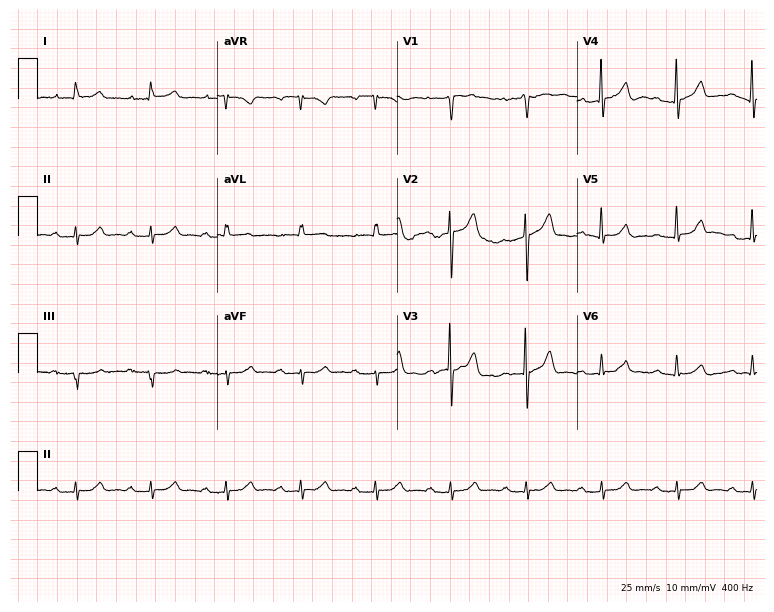
Resting 12-lead electrocardiogram (7.3-second recording at 400 Hz). Patient: a 64-year-old man. The tracing shows first-degree AV block.